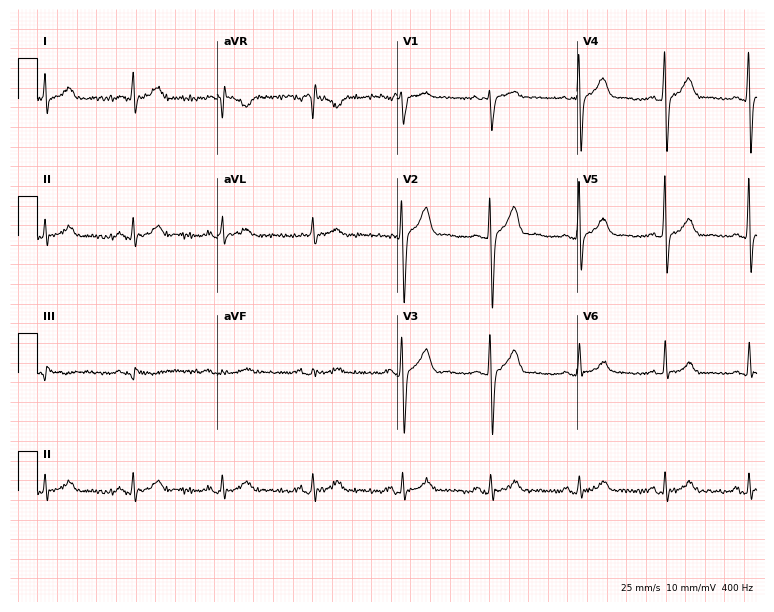
12-lead ECG from a 43-year-old male (7.3-second recording at 400 Hz). No first-degree AV block, right bundle branch block (RBBB), left bundle branch block (LBBB), sinus bradycardia, atrial fibrillation (AF) or sinus tachycardia recorded for this tracing. Findings outside these six are not listed.